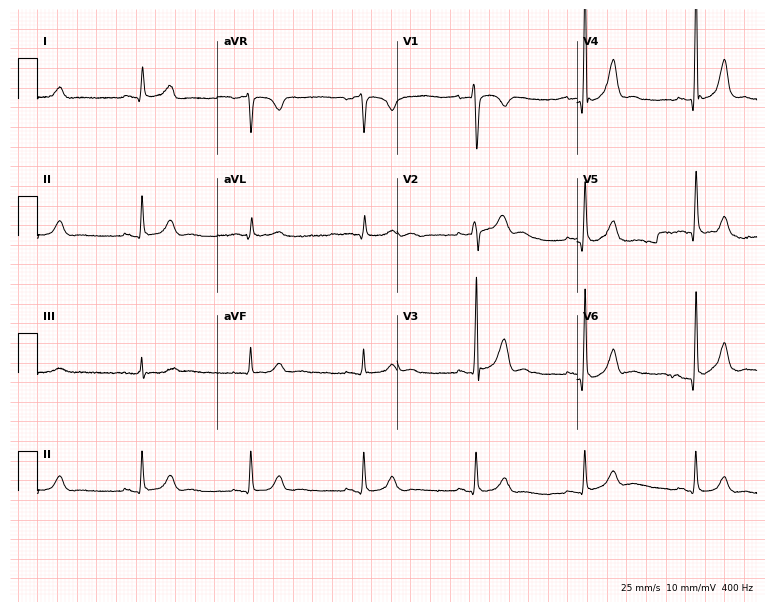
Standard 12-lead ECG recorded from a female patient, 49 years old (7.3-second recording at 400 Hz). Read as a normal ECG.